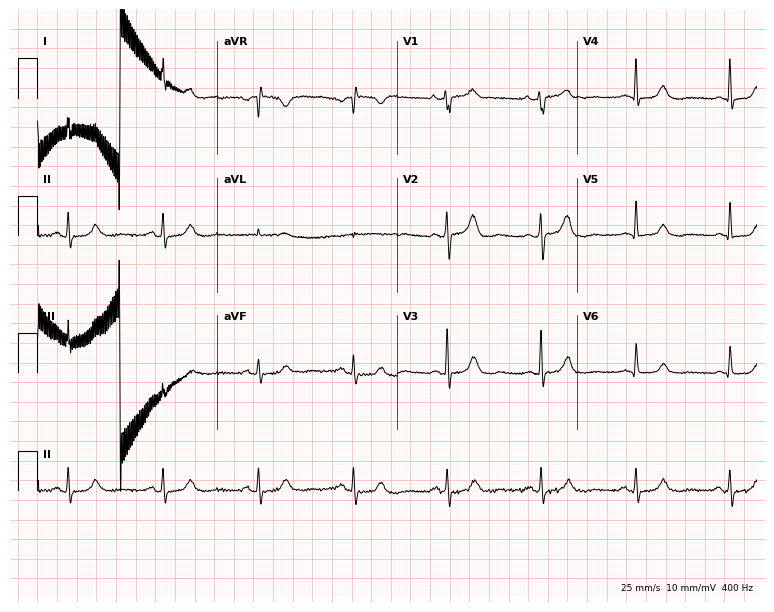
12-lead ECG from a female patient, 84 years old. Labelled as a normal ECG.